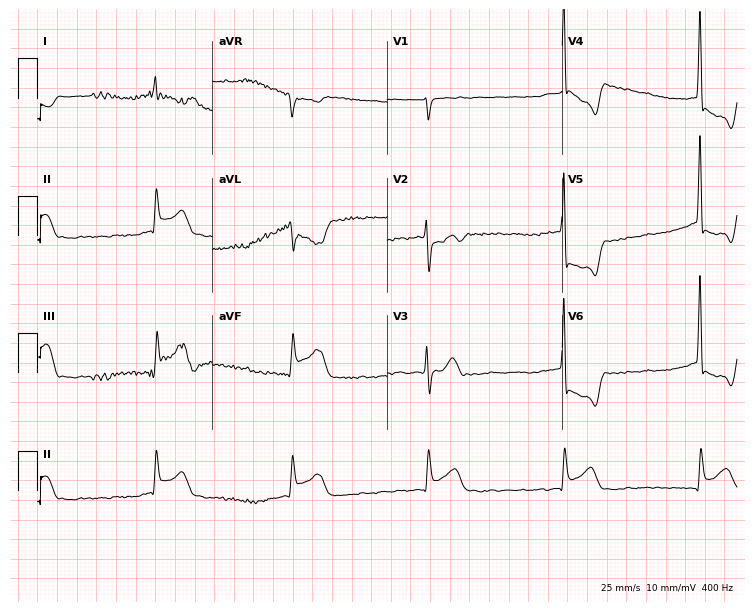
Standard 12-lead ECG recorded from a 62-year-old man. None of these six findings is recorded: first-degree AV block, right bundle branch block, left bundle branch block, sinus bradycardia, atrial fibrillation, sinus tachycardia.